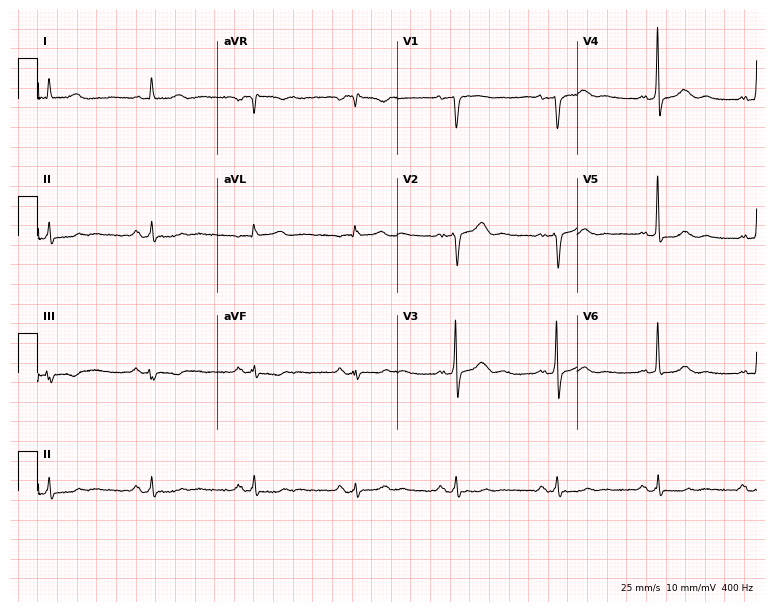
12-lead ECG (7.3-second recording at 400 Hz) from a 72-year-old male. Labelled as a normal ECG.